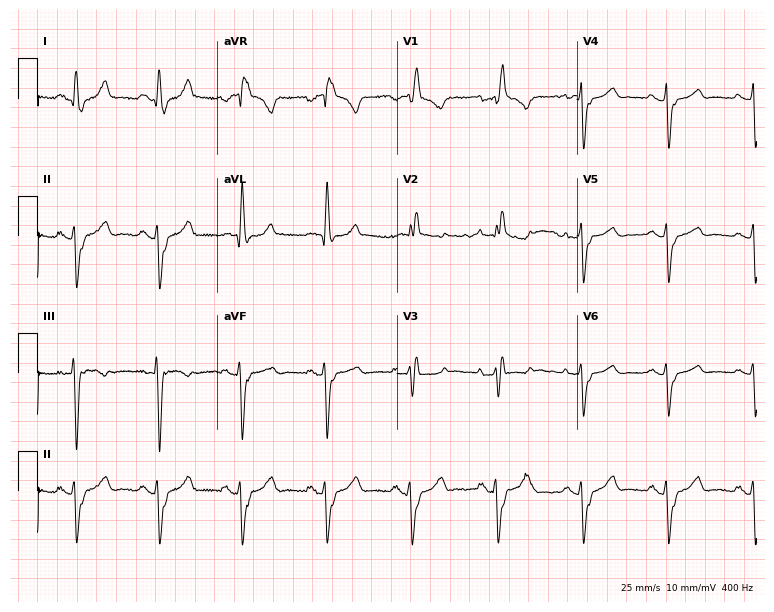
12-lead ECG (7.3-second recording at 400 Hz) from a female patient, 64 years old. Findings include right bundle branch block (RBBB).